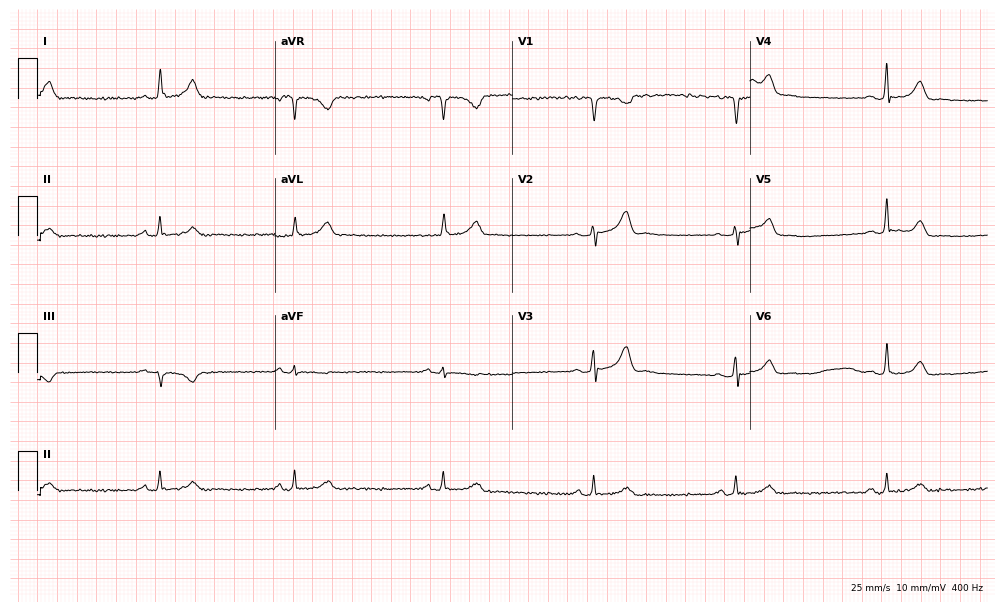
12-lead ECG (9.7-second recording at 400 Hz) from a 56-year-old male patient. Findings include sinus bradycardia (a sinus rate of 50 beats per minute or less).